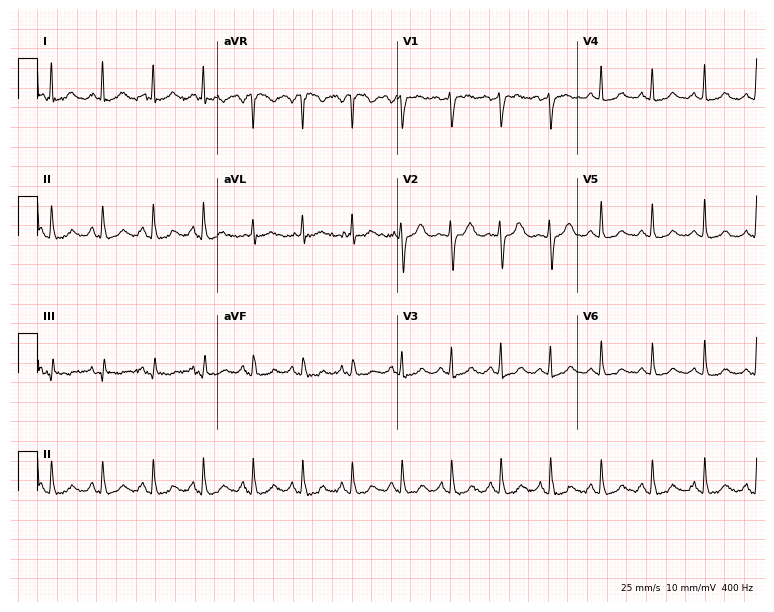
Resting 12-lead electrocardiogram (7.3-second recording at 400 Hz). Patient: a female, 51 years old. The tracing shows sinus tachycardia (a sinus rate of 100 beats per minute or more).